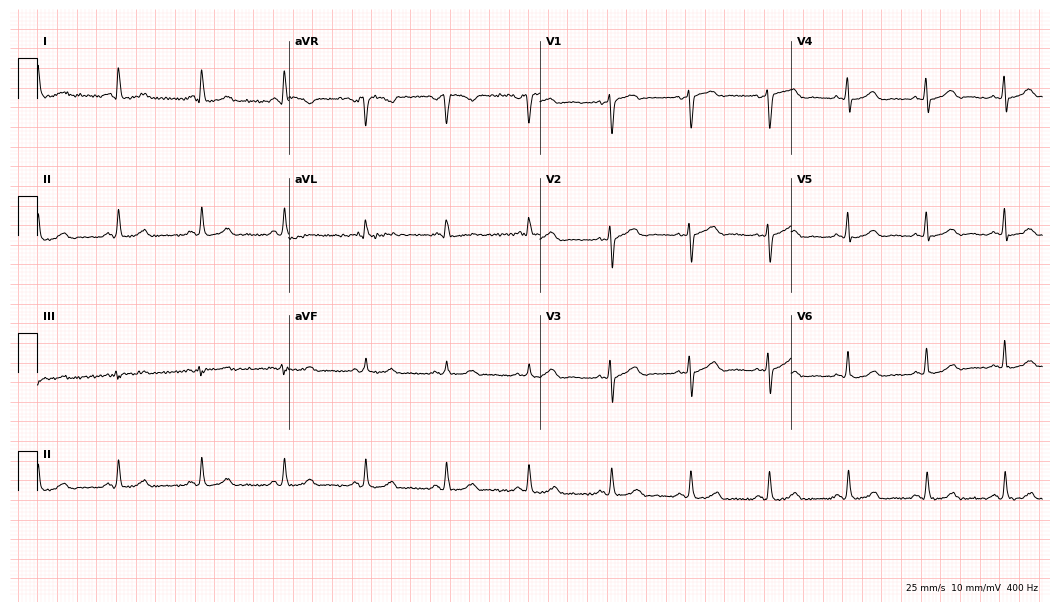
Electrocardiogram (10.2-second recording at 400 Hz), a female, 51 years old. Overall reading on record: normal ECG.